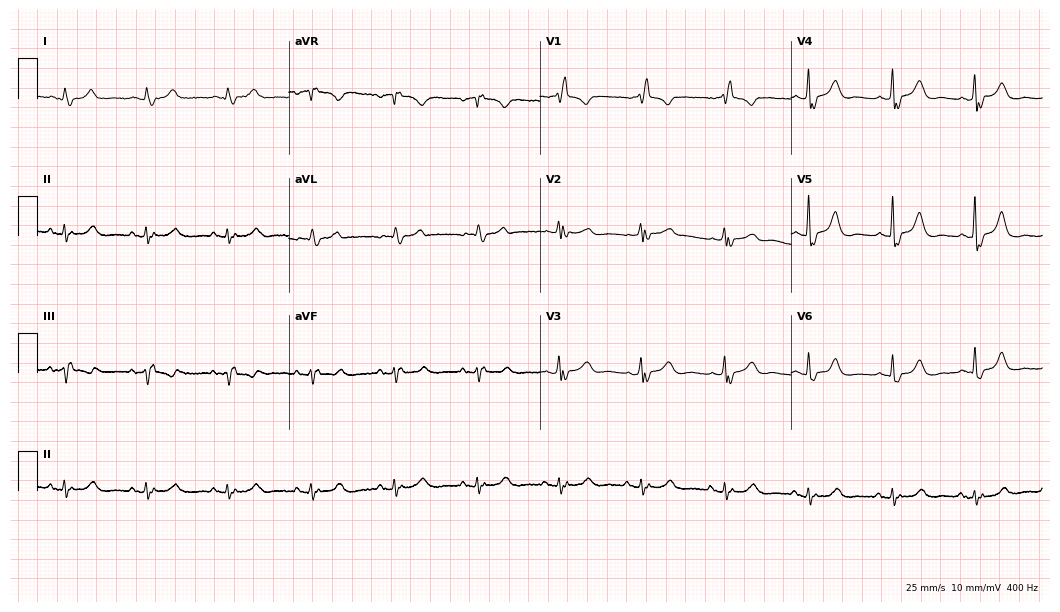
Electrocardiogram, an 83-year-old male patient. Interpretation includes right bundle branch block.